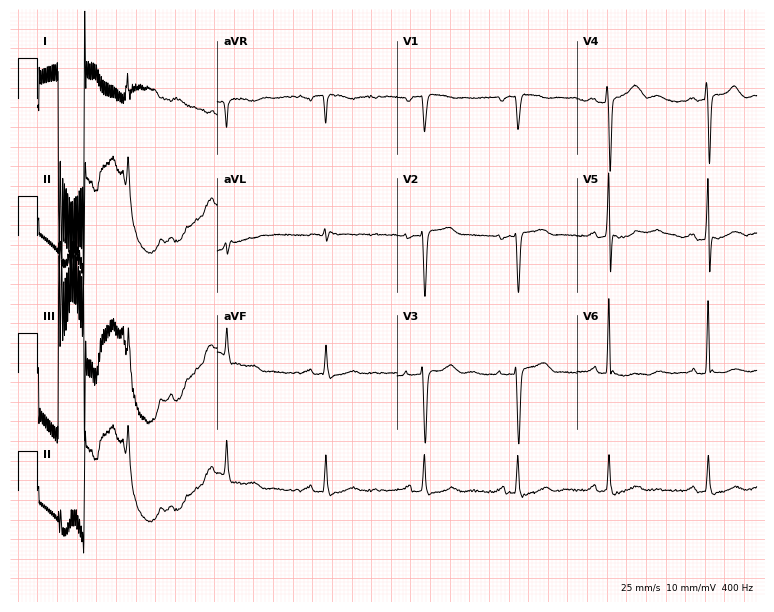
Standard 12-lead ECG recorded from a female, 63 years old. None of these six findings is recorded: first-degree AV block, right bundle branch block, left bundle branch block, sinus bradycardia, atrial fibrillation, sinus tachycardia.